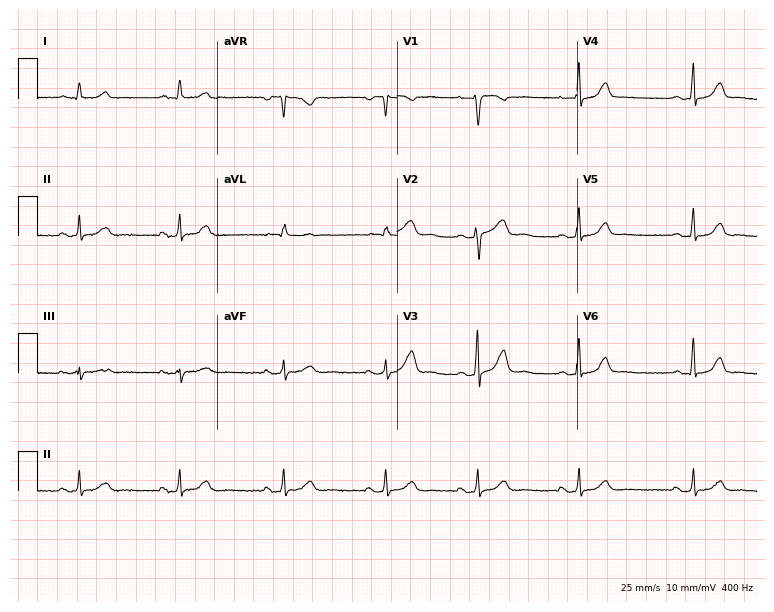
12-lead ECG (7.3-second recording at 400 Hz) from a female, 33 years old. Labelled as a normal ECG.